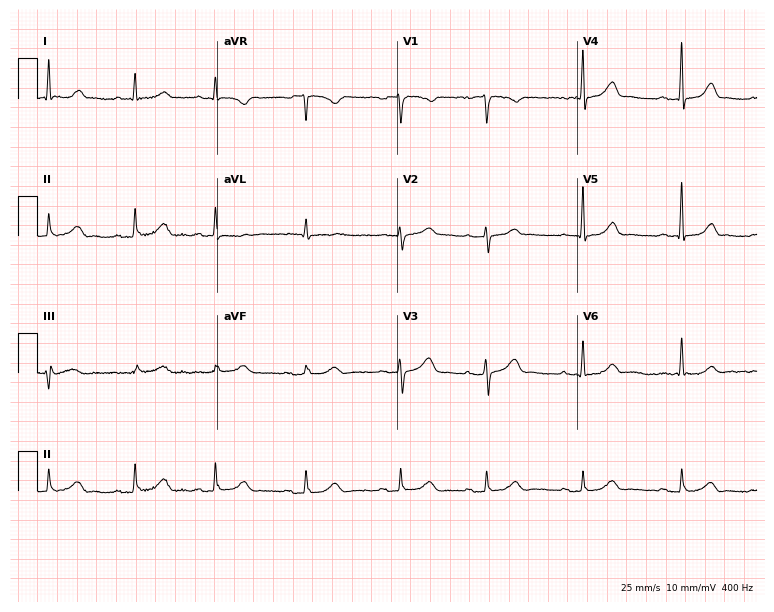
Standard 12-lead ECG recorded from a female, 55 years old (7.3-second recording at 400 Hz). Read as a normal ECG.